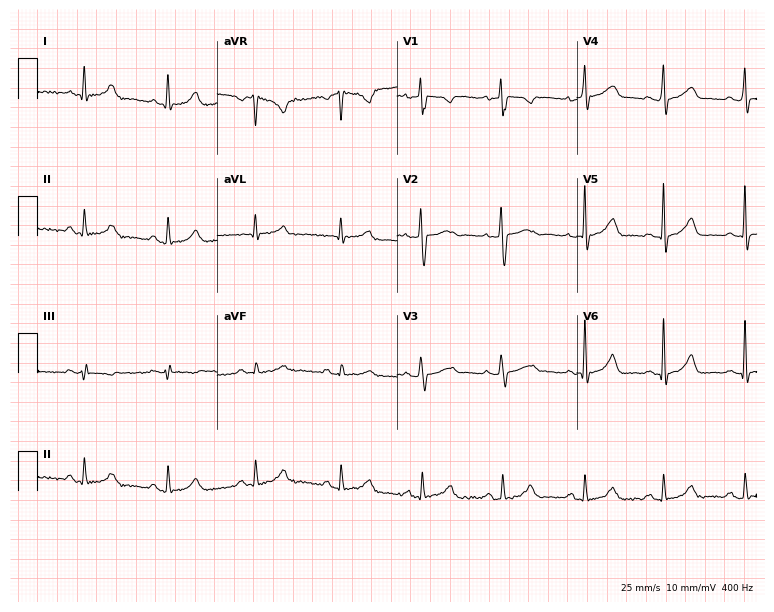
12-lead ECG from a female patient, 37 years old. Screened for six findings — first-degree AV block, right bundle branch block, left bundle branch block, sinus bradycardia, atrial fibrillation, sinus tachycardia — none is recorded. Other findings, if any, are not listed.